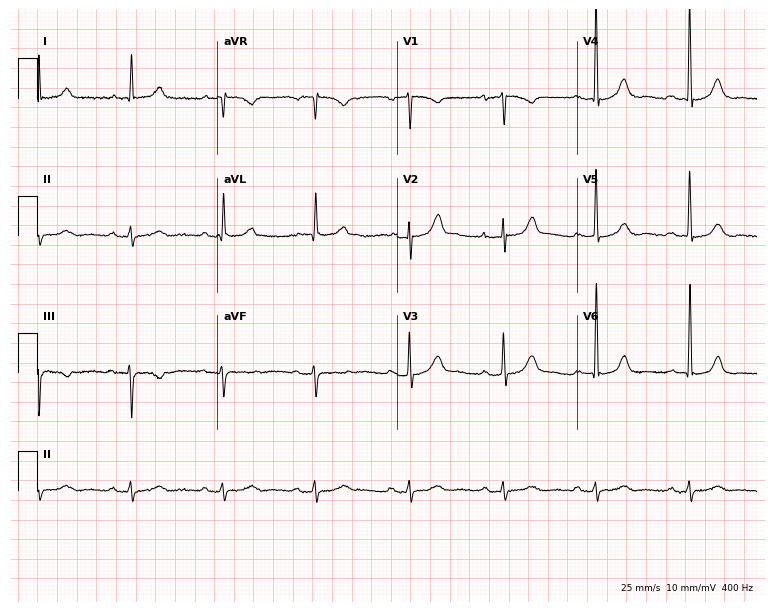
Electrocardiogram, a 76-year-old man. Overall reading on record: normal ECG.